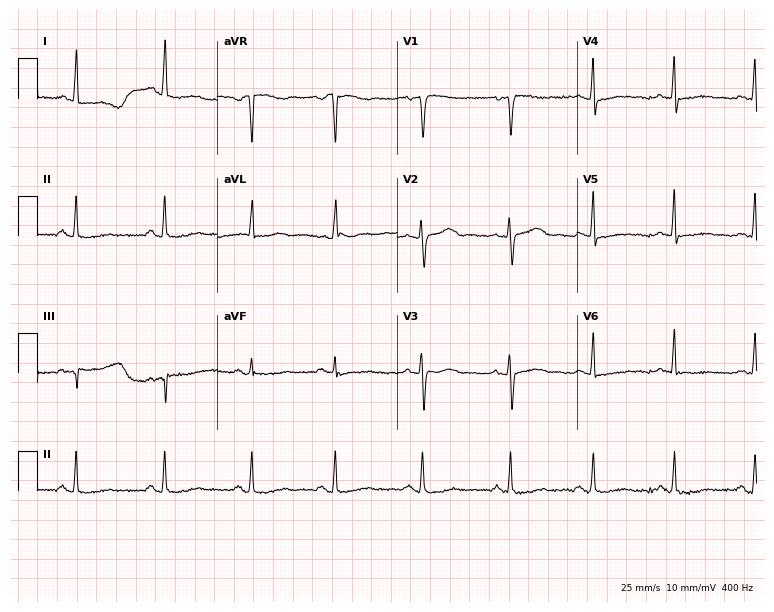
Standard 12-lead ECG recorded from a female, 57 years old. None of these six findings is recorded: first-degree AV block, right bundle branch block, left bundle branch block, sinus bradycardia, atrial fibrillation, sinus tachycardia. Findings outside these six are not listed.